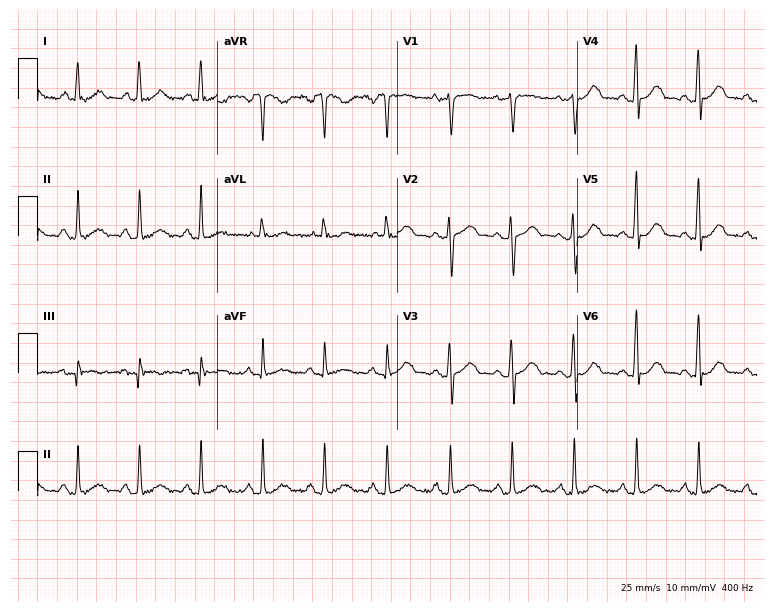
12-lead ECG from a female patient, 50 years old. Screened for six findings — first-degree AV block, right bundle branch block, left bundle branch block, sinus bradycardia, atrial fibrillation, sinus tachycardia — none is recorded.